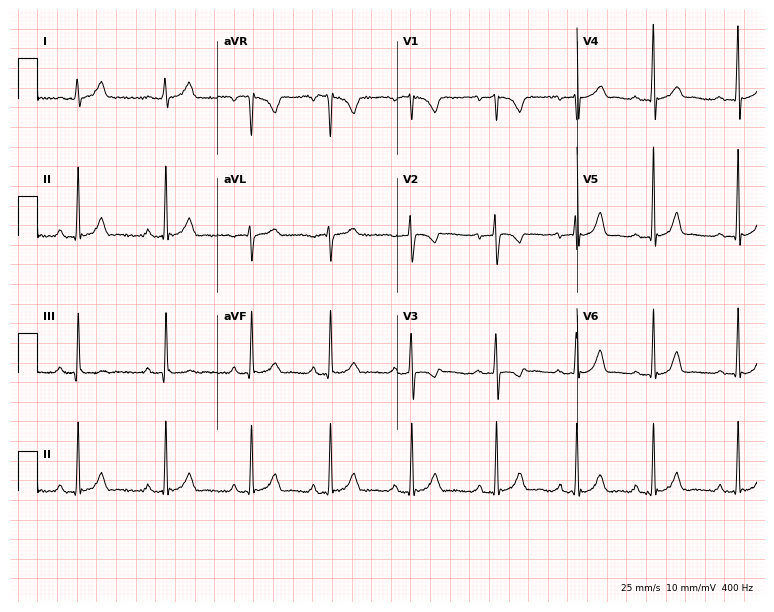
Resting 12-lead electrocardiogram. Patient: an 18-year-old woman. None of these six findings is recorded: first-degree AV block, right bundle branch block, left bundle branch block, sinus bradycardia, atrial fibrillation, sinus tachycardia. Findings outside these six are not listed.